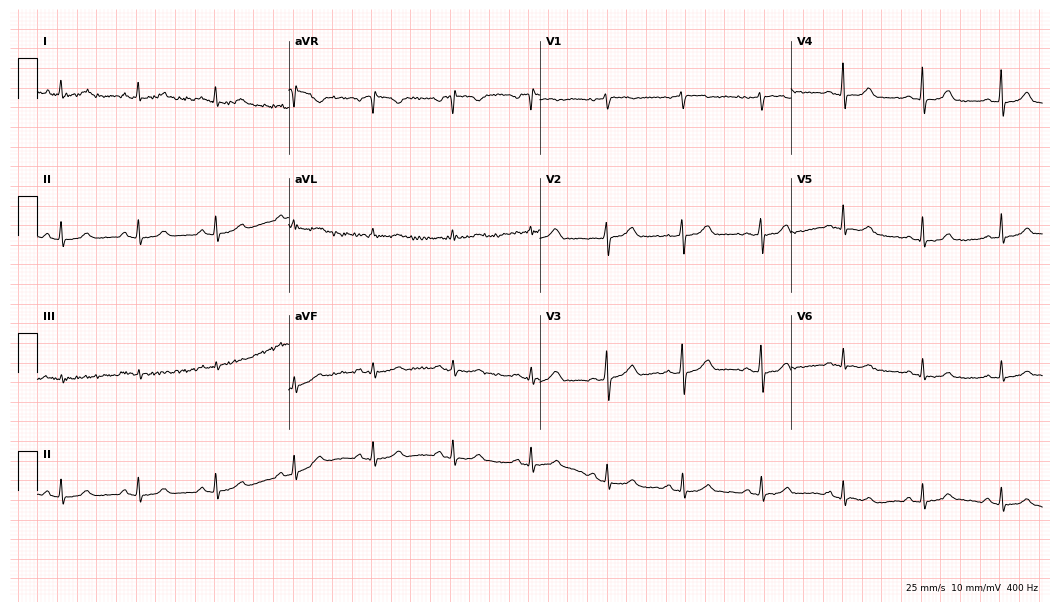
ECG (10.2-second recording at 400 Hz) — a female, 48 years old. Labelled as a normal ECG.